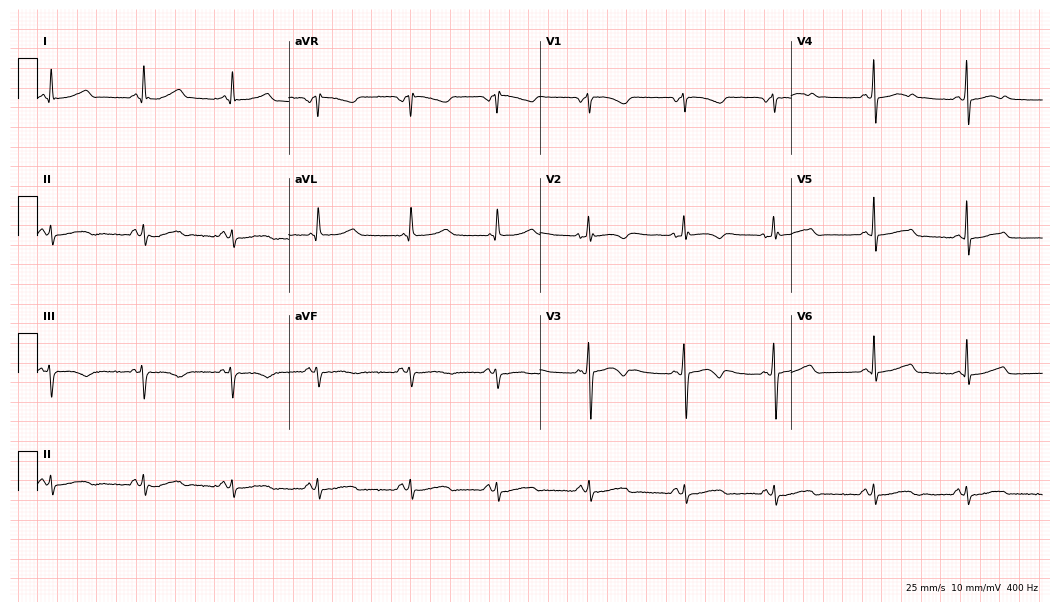
Standard 12-lead ECG recorded from a 25-year-old male patient (10.2-second recording at 400 Hz). Read as a normal ECG.